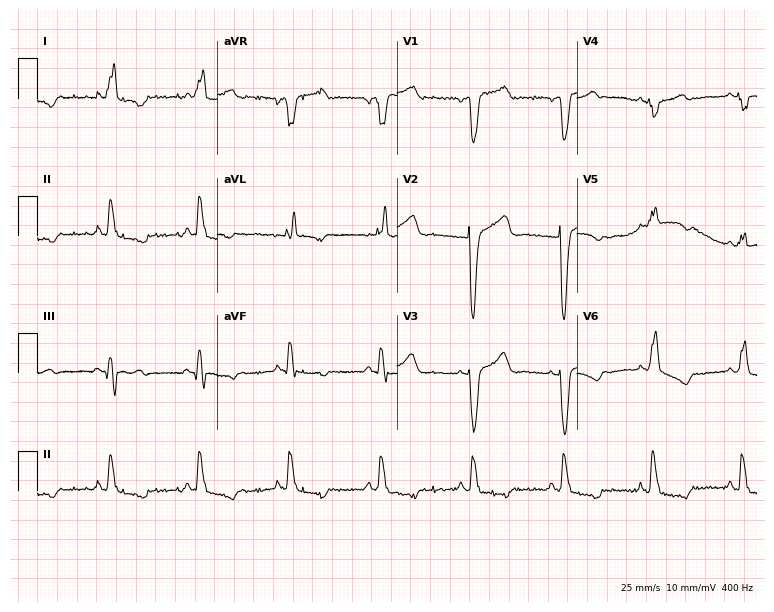
Resting 12-lead electrocardiogram. Patient: an 89-year-old woman. The tracing shows left bundle branch block.